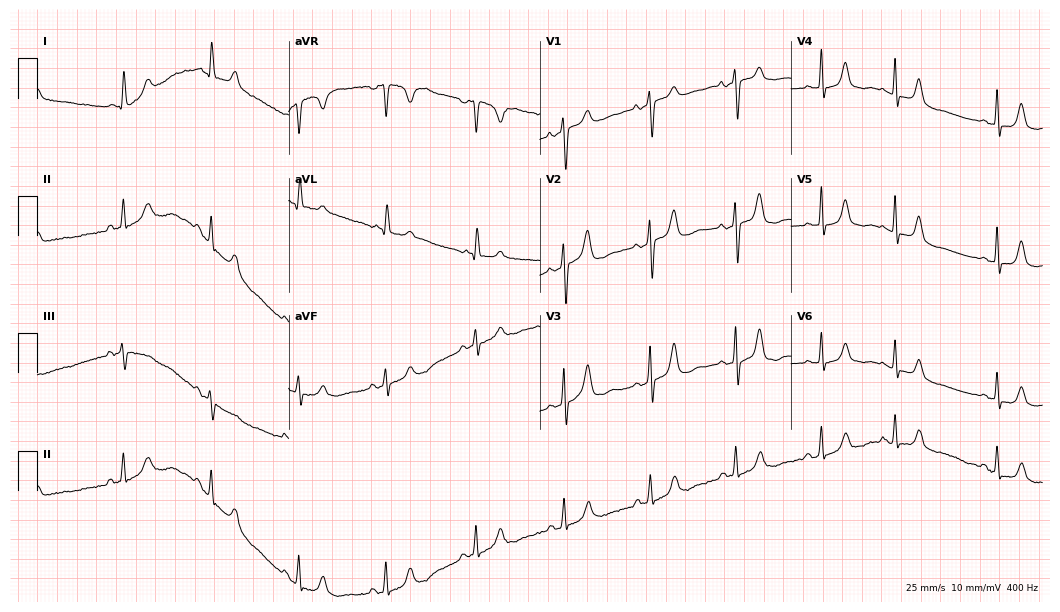
Standard 12-lead ECG recorded from a woman, 83 years old (10.2-second recording at 400 Hz). Read as a normal ECG.